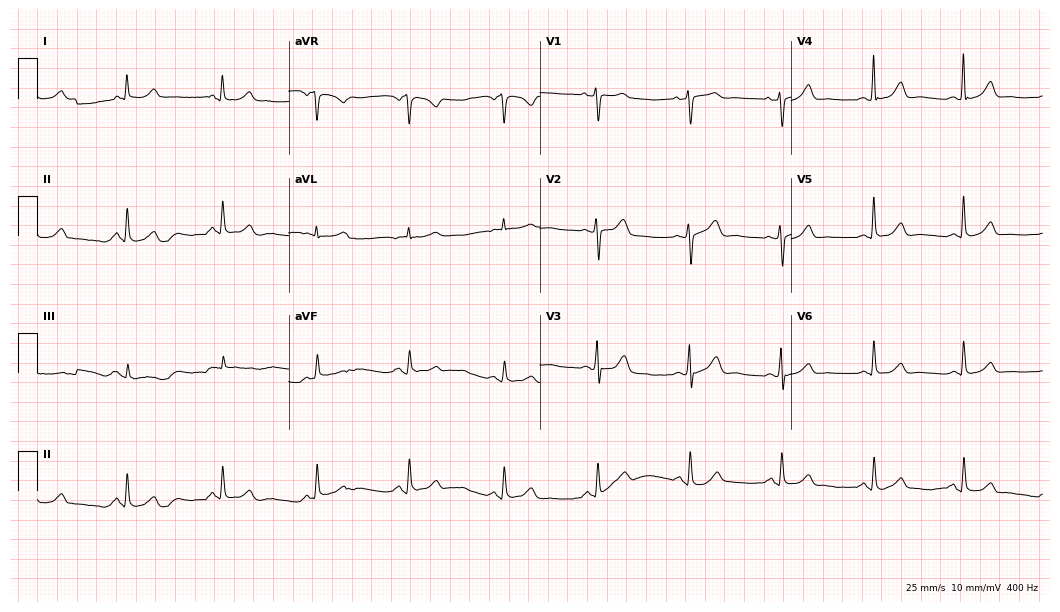
12-lead ECG from a woman, 65 years old. Labelled as a normal ECG.